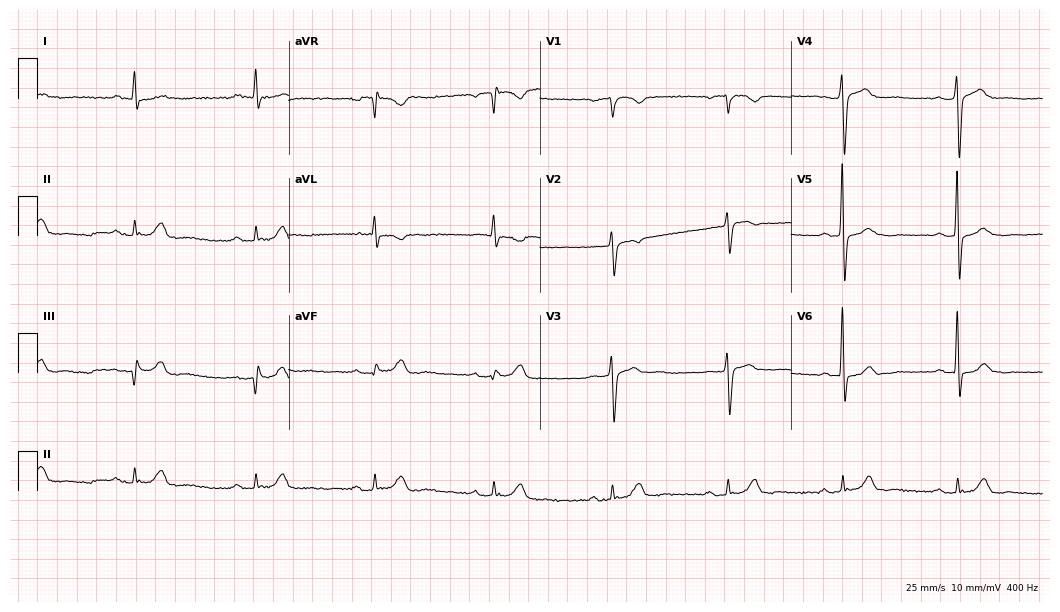
12-lead ECG from a 73-year-old male. Screened for six findings — first-degree AV block, right bundle branch block, left bundle branch block, sinus bradycardia, atrial fibrillation, sinus tachycardia — none is recorded.